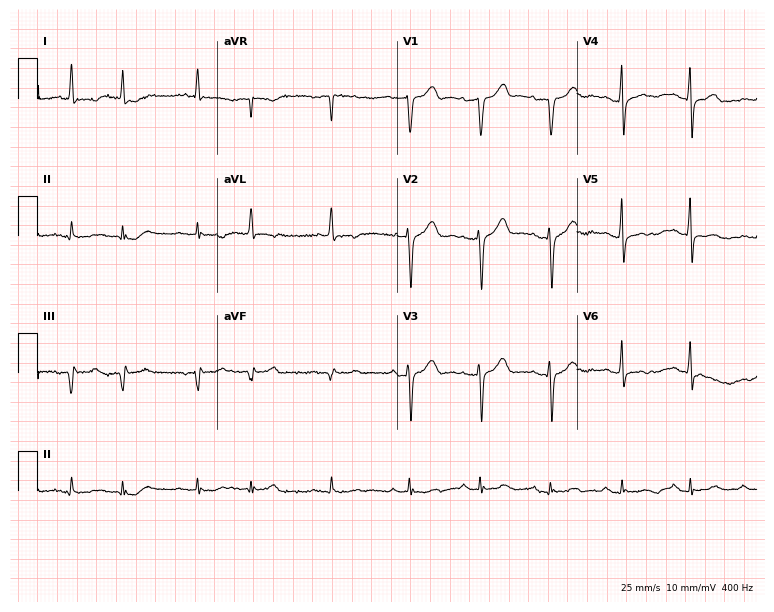
Resting 12-lead electrocardiogram. Patient: a male, 73 years old. None of these six findings is recorded: first-degree AV block, right bundle branch block, left bundle branch block, sinus bradycardia, atrial fibrillation, sinus tachycardia.